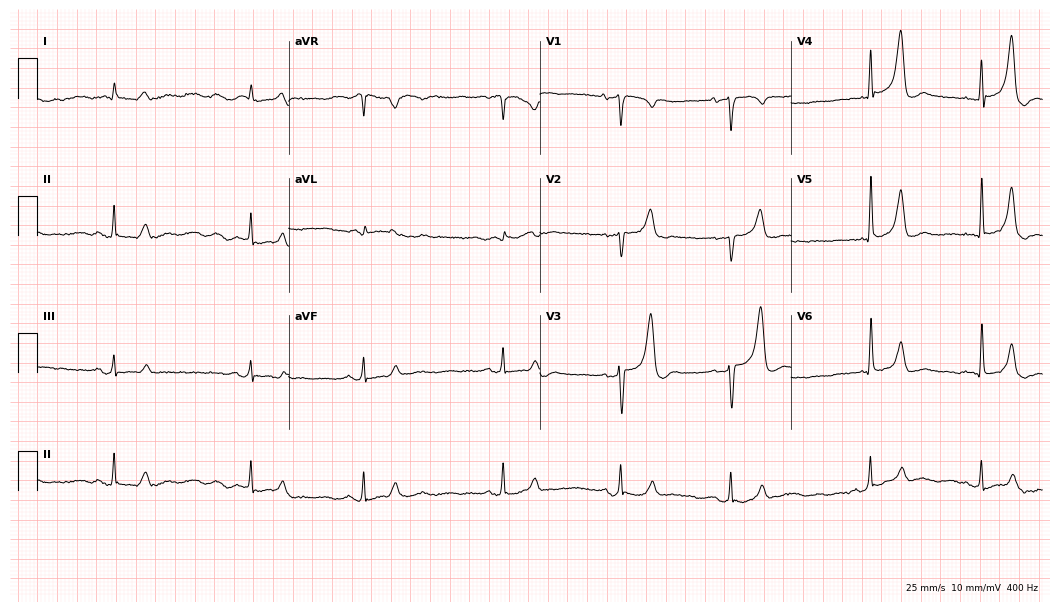
12-lead ECG (10.2-second recording at 400 Hz) from a man, 83 years old. Screened for six findings — first-degree AV block, right bundle branch block, left bundle branch block, sinus bradycardia, atrial fibrillation, sinus tachycardia — none is recorded.